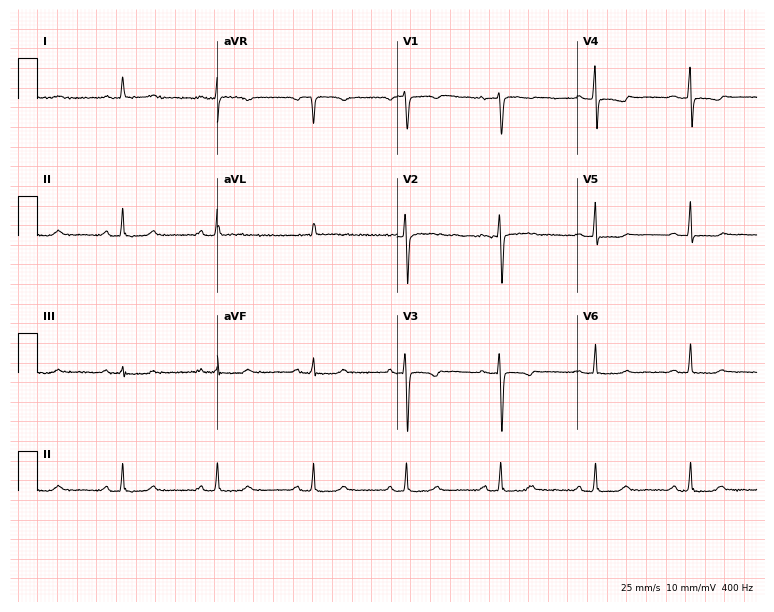
Resting 12-lead electrocardiogram. Patient: a 56-year-old female. None of these six findings is recorded: first-degree AV block, right bundle branch block (RBBB), left bundle branch block (LBBB), sinus bradycardia, atrial fibrillation (AF), sinus tachycardia.